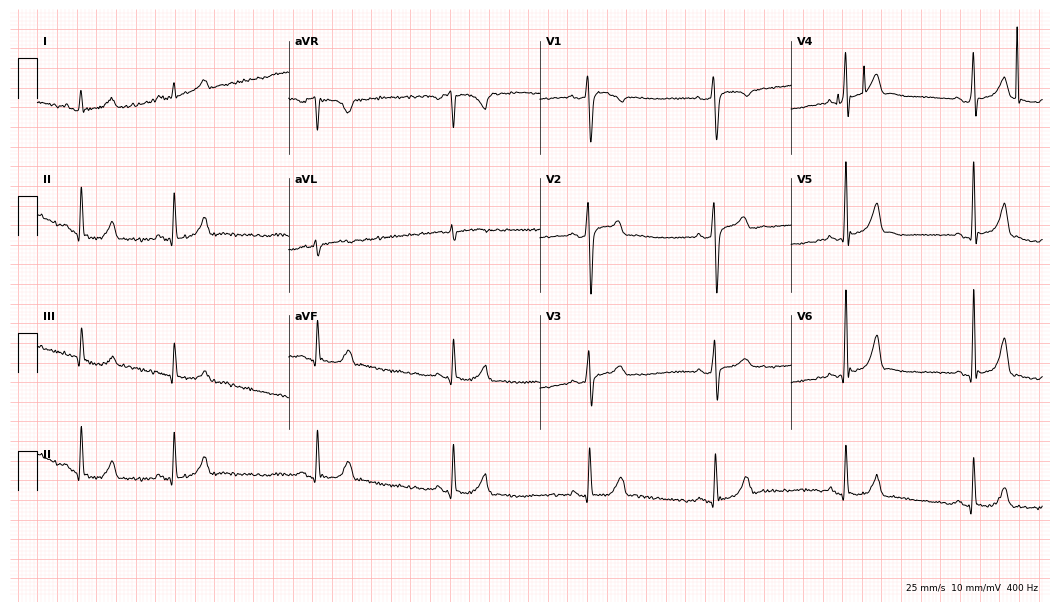
Standard 12-lead ECG recorded from a male patient, 26 years old. Read as a normal ECG.